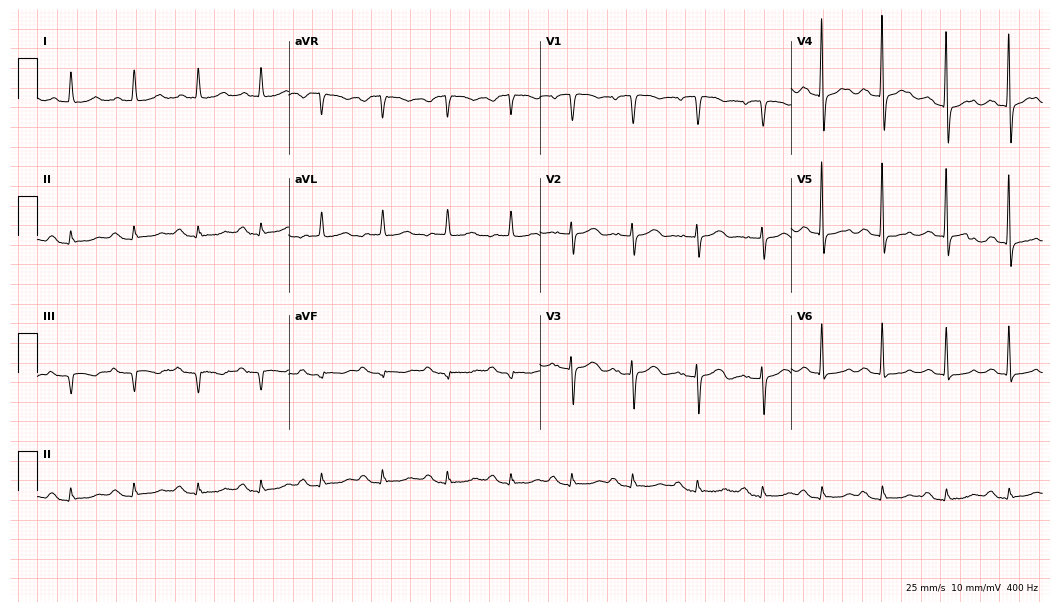
Standard 12-lead ECG recorded from a 73-year-old woman (10.2-second recording at 400 Hz). Read as a normal ECG.